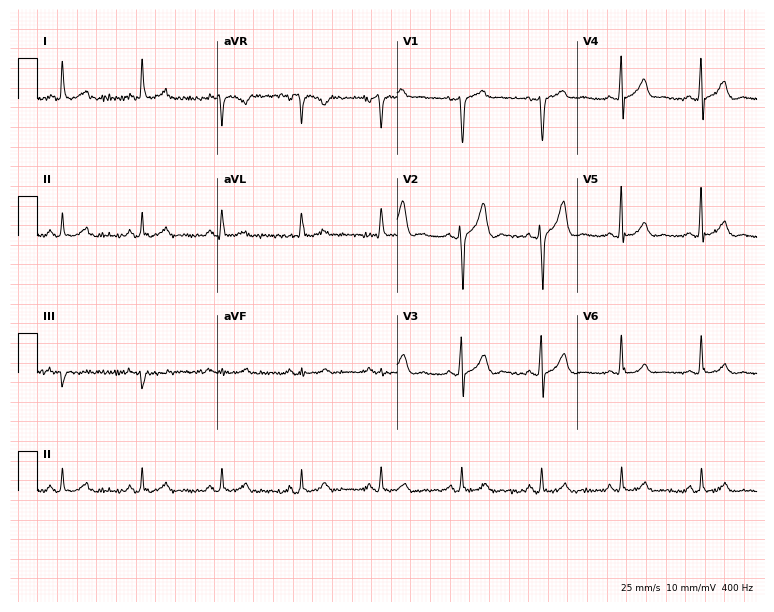
Resting 12-lead electrocardiogram (7.3-second recording at 400 Hz). Patient: a man, 57 years old. Read as a normal ECG.